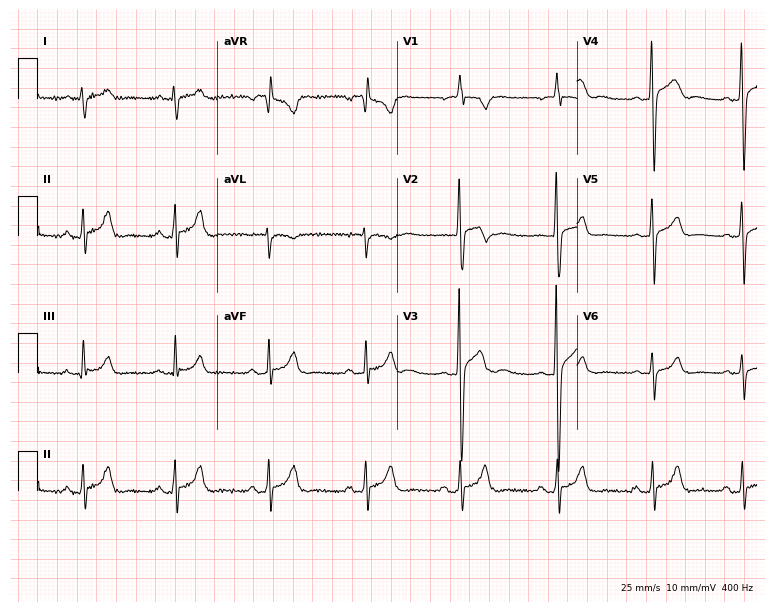
12-lead ECG from a 32-year-old male. Screened for six findings — first-degree AV block, right bundle branch block, left bundle branch block, sinus bradycardia, atrial fibrillation, sinus tachycardia — none is recorded. Findings outside these six are not listed.